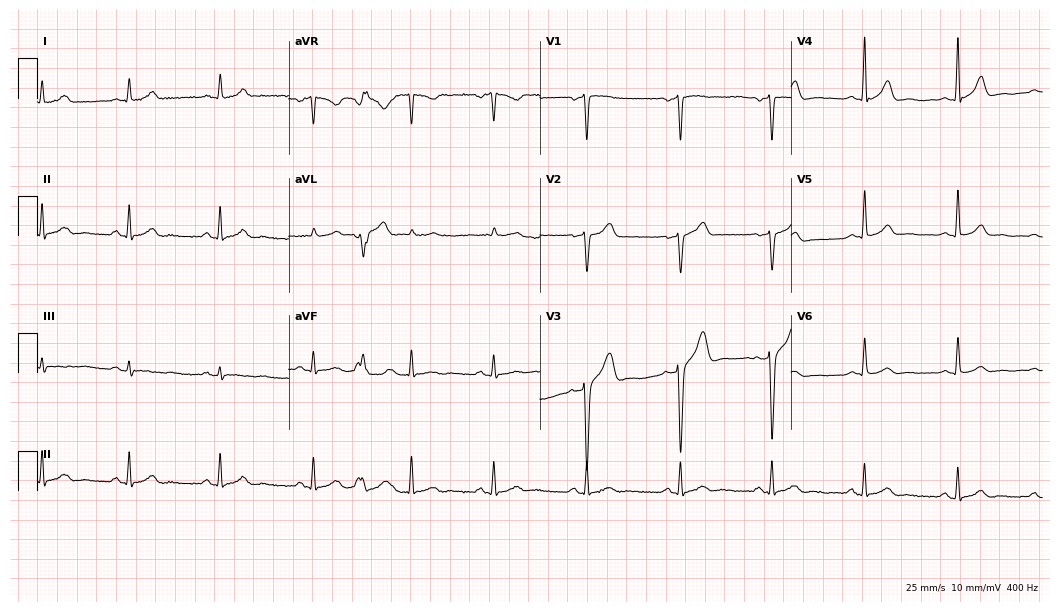
Resting 12-lead electrocardiogram. Patient: a 59-year-old man. Read as a normal ECG.